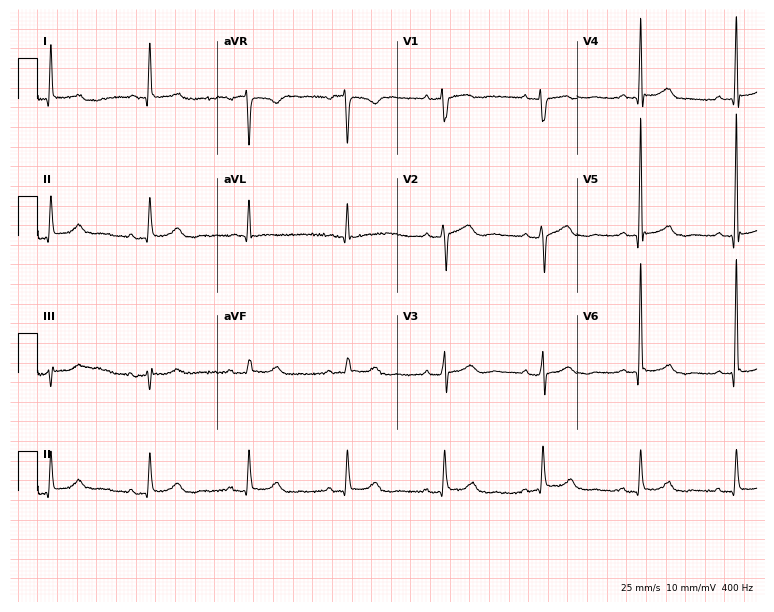
12-lead ECG from a female, 81 years old. No first-degree AV block, right bundle branch block (RBBB), left bundle branch block (LBBB), sinus bradycardia, atrial fibrillation (AF) or sinus tachycardia recorded for this tracing.